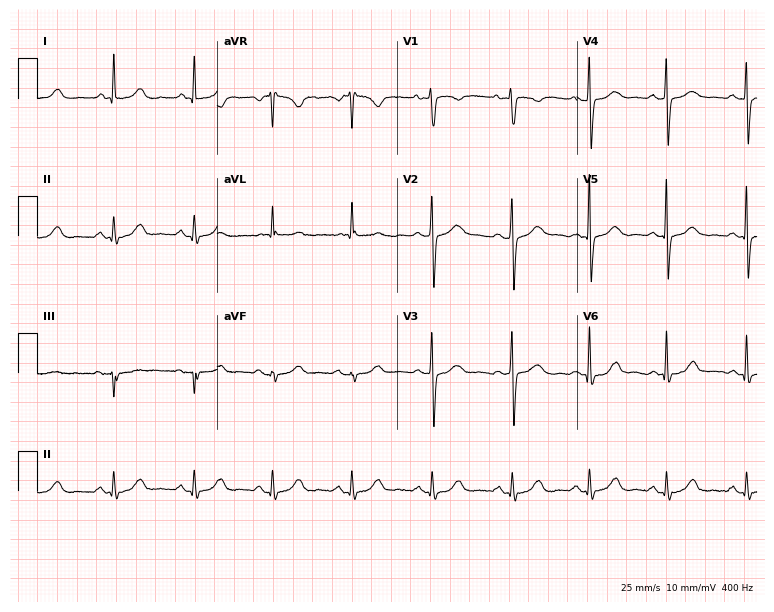
Resting 12-lead electrocardiogram. Patient: a female, 56 years old. Read as a normal ECG.